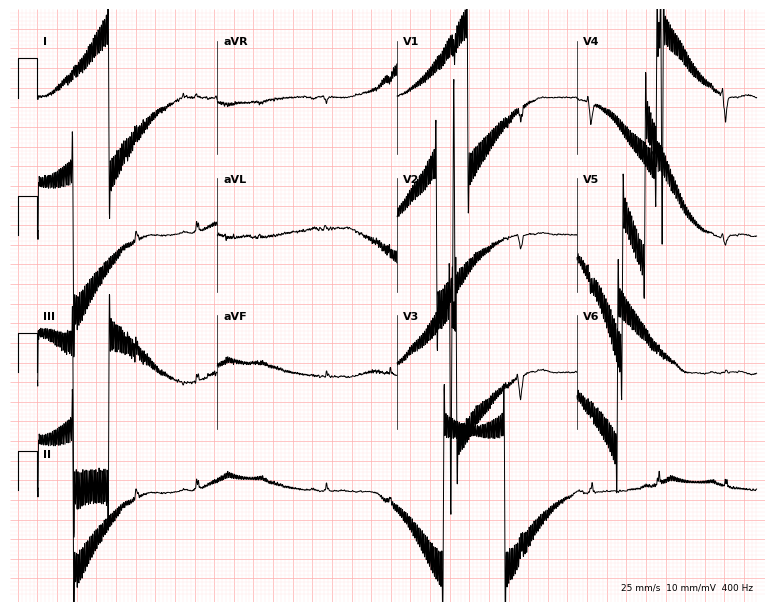
Standard 12-lead ECG recorded from a woman, 67 years old. None of these six findings is recorded: first-degree AV block, right bundle branch block, left bundle branch block, sinus bradycardia, atrial fibrillation, sinus tachycardia.